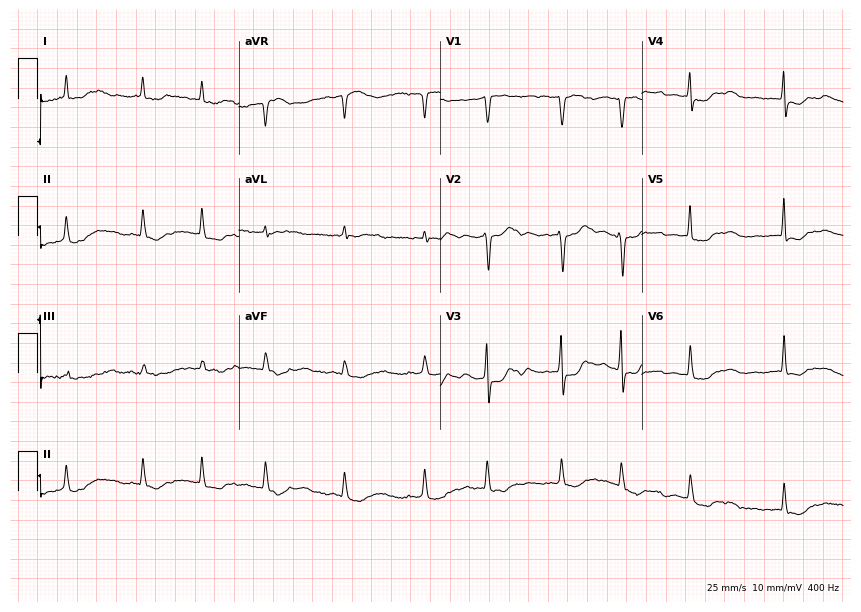
12-lead ECG from a woman, 82 years old. No first-degree AV block, right bundle branch block, left bundle branch block, sinus bradycardia, atrial fibrillation or sinus tachycardia recorded for this tracing.